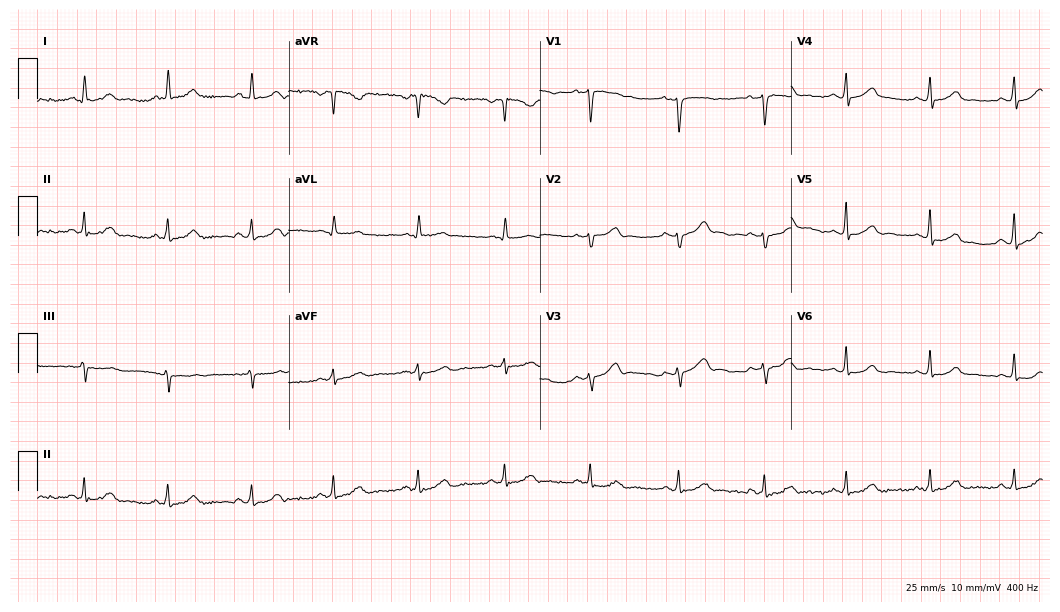
Resting 12-lead electrocardiogram (10.2-second recording at 400 Hz). Patient: a 42-year-old woman. Read as a normal ECG.